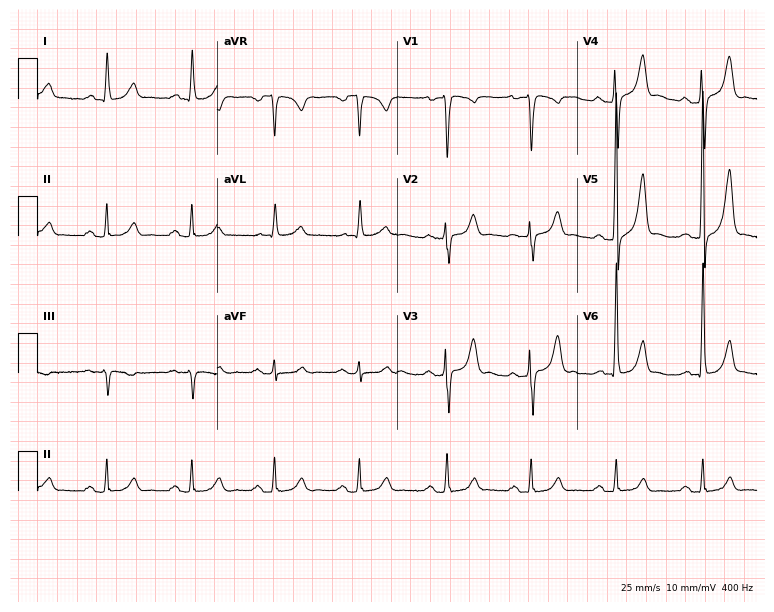
Electrocardiogram, a 75-year-old male. Interpretation includes first-degree AV block.